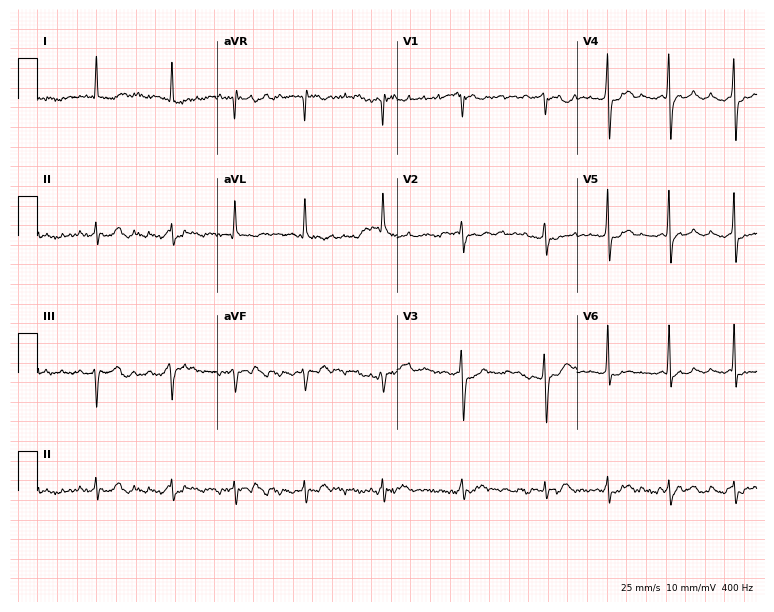
12-lead ECG from a male, 81 years old. Findings include atrial fibrillation.